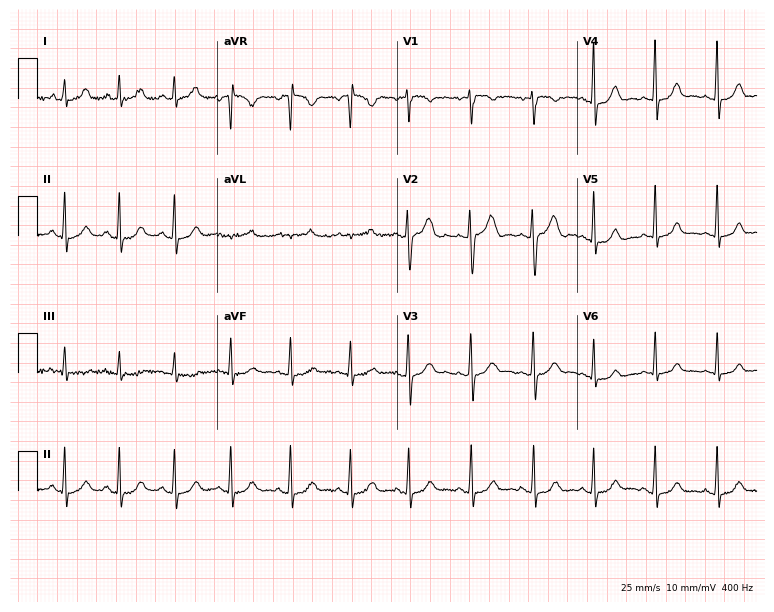
12-lead ECG (7.3-second recording at 400 Hz) from a woman, 18 years old. Labelled as a normal ECG.